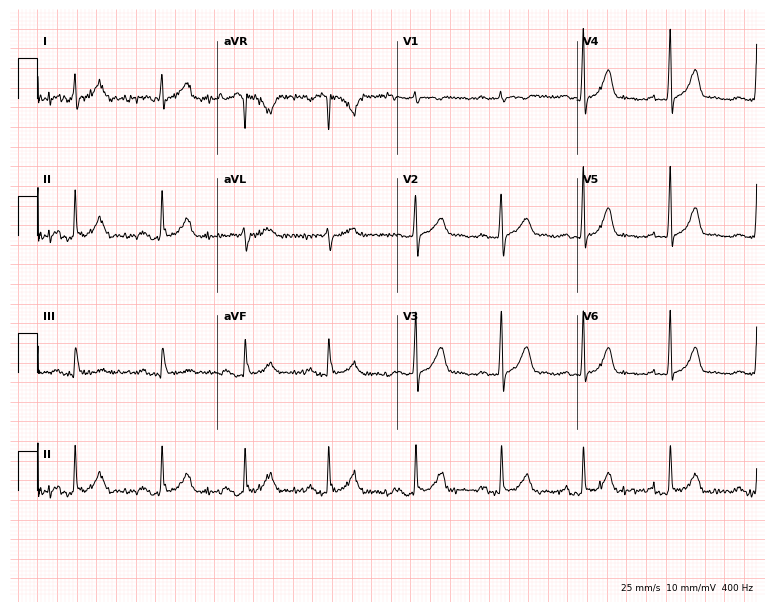
12-lead ECG from a 21-year-old woman. Labelled as a normal ECG.